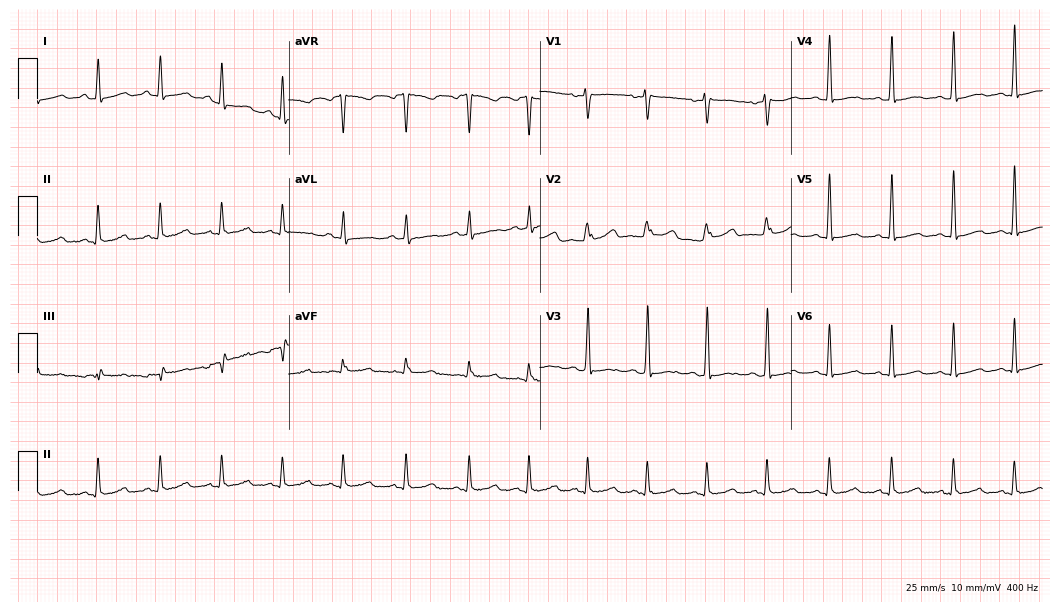
12-lead ECG from a 28-year-old female. Labelled as a normal ECG.